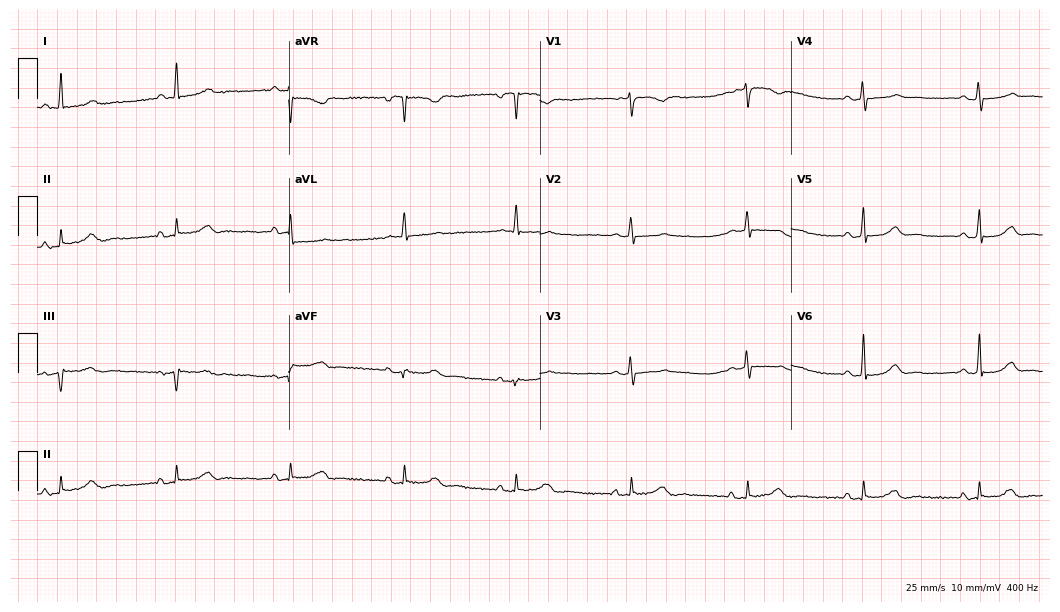
12-lead ECG from a 68-year-old woman. Screened for six findings — first-degree AV block, right bundle branch block, left bundle branch block, sinus bradycardia, atrial fibrillation, sinus tachycardia — none is recorded. Other findings, if any, are not listed.